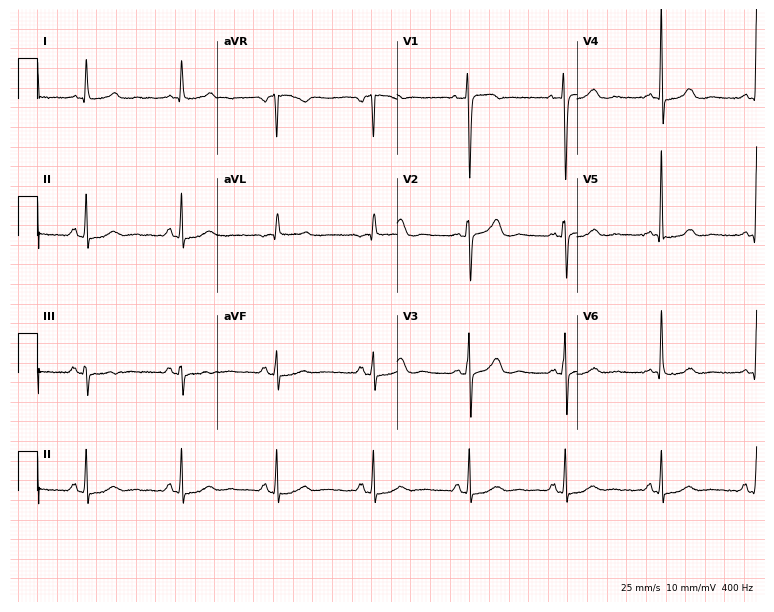
Resting 12-lead electrocardiogram. Patient: a female, 61 years old. None of these six findings is recorded: first-degree AV block, right bundle branch block (RBBB), left bundle branch block (LBBB), sinus bradycardia, atrial fibrillation (AF), sinus tachycardia.